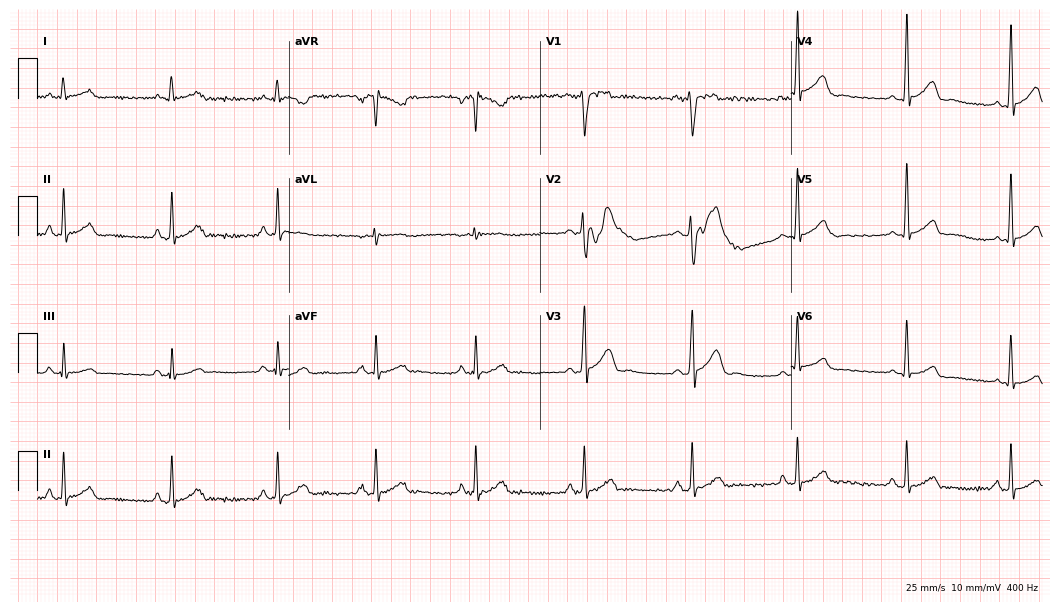
ECG (10.2-second recording at 400 Hz) — a man, 25 years old. Labelled as a normal ECG.